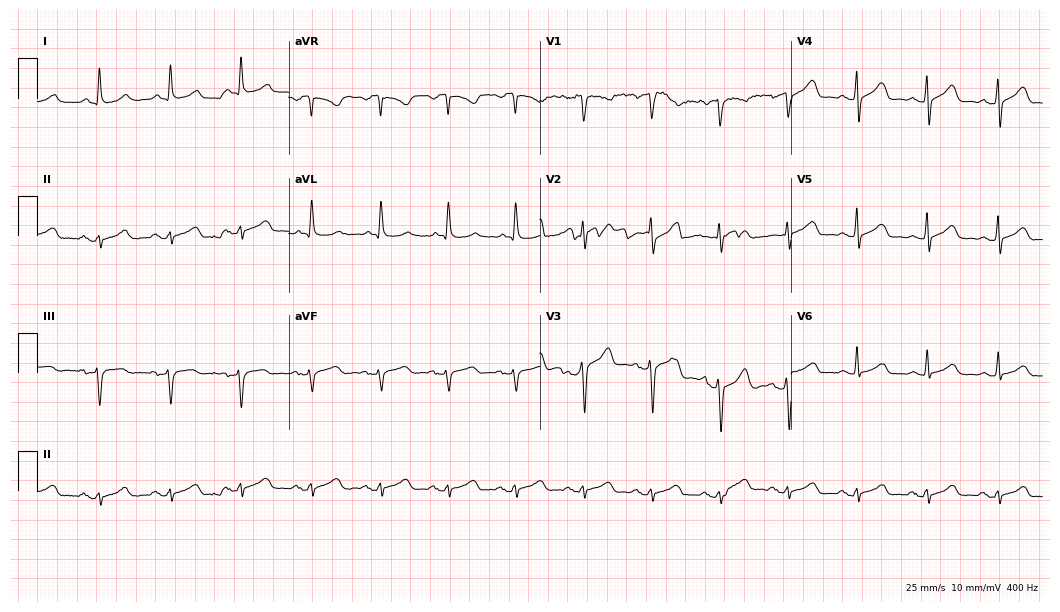
12-lead ECG from a male, 66 years old. Recorded interpretation: within normal limits.